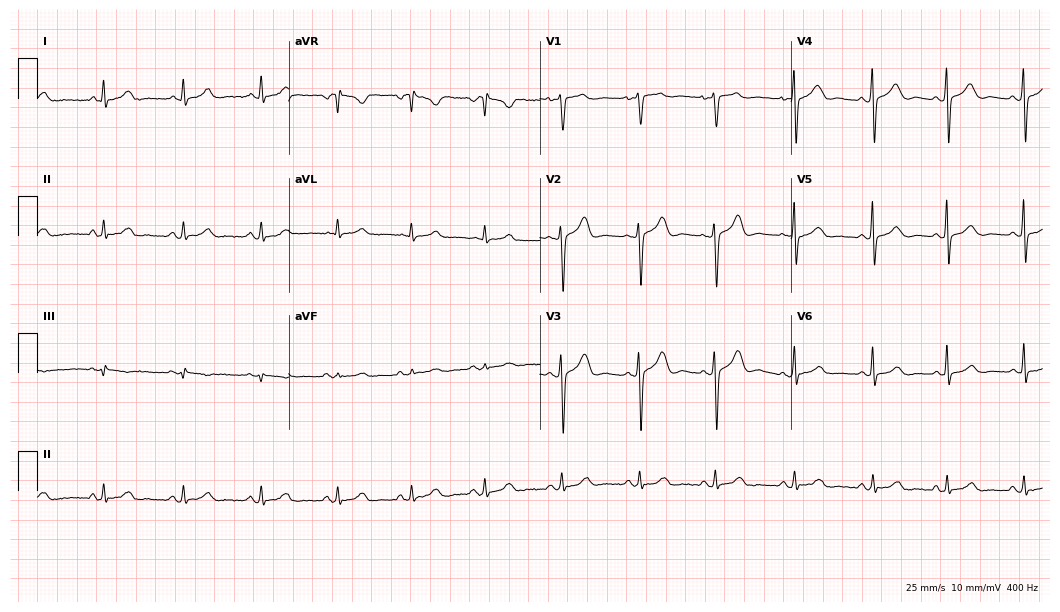
ECG — a 34-year-old woman. Screened for six findings — first-degree AV block, right bundle branch block, left bundle branch block, sinus bradycardia, atrial fibrillation, sinus tachycardia — none is recorded. Only these six findings were labelled.